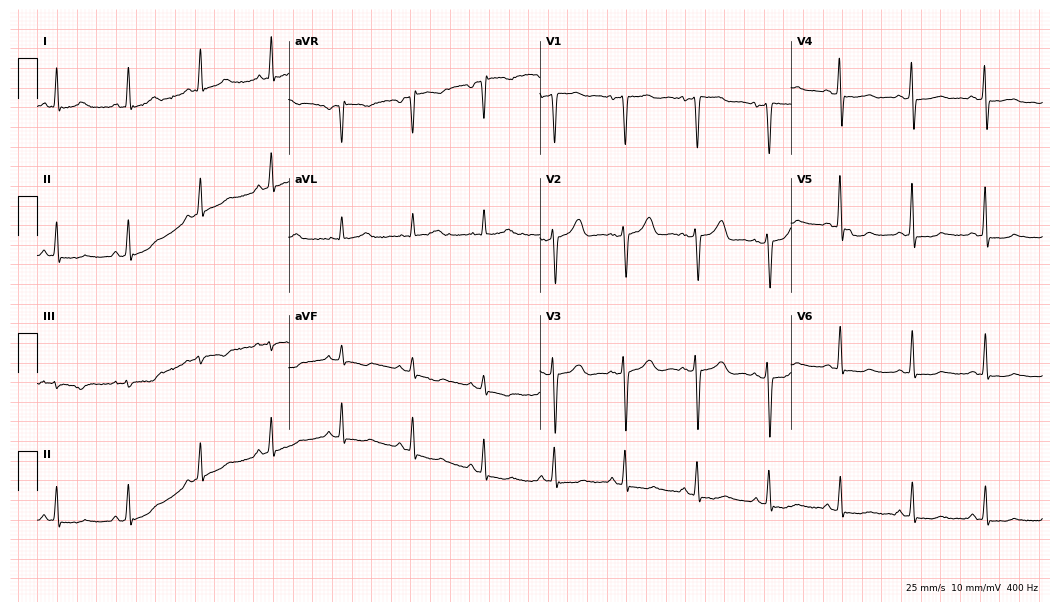
Resting 12-lead electrocardiogram (10.2-second recording at 400 Hz). Patient: a 51-year-old female. Read as a normal ECG.